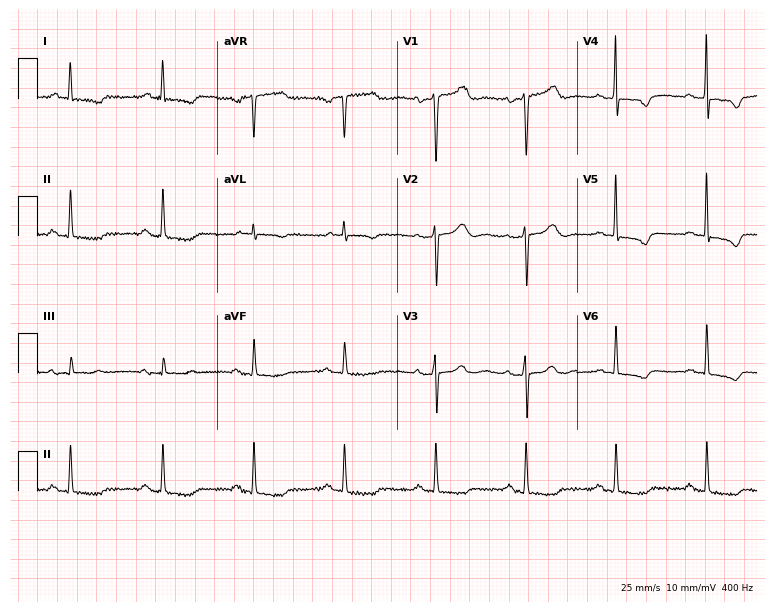
12-lead ECG from an 81-year-old female (7.3-second recording at 400 Hz). No first-degree AV block, right bundle branch block (RBBB), left bundle branch block (LBBB), sinus bradycardia, atrial fibrillation (AF) or sinus tachycardia recorded for this tracing.